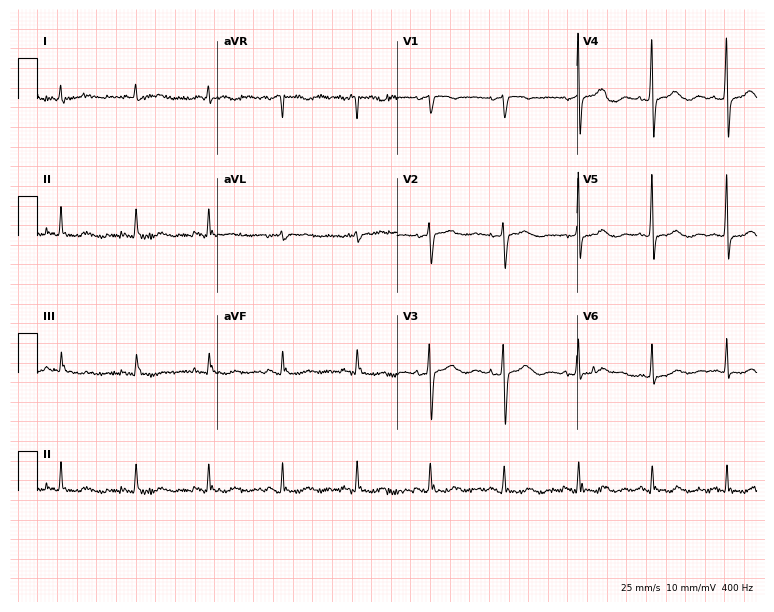
Standard 12-lead ECG recorded from a 79-year-old female. None of these six findings is recorded: first-degree AV block, right bundle branch block (RBBB), left bundle branch block (LBBB), sinus bradycardia, atrial fibrillation (AF), sinus tachycardia.